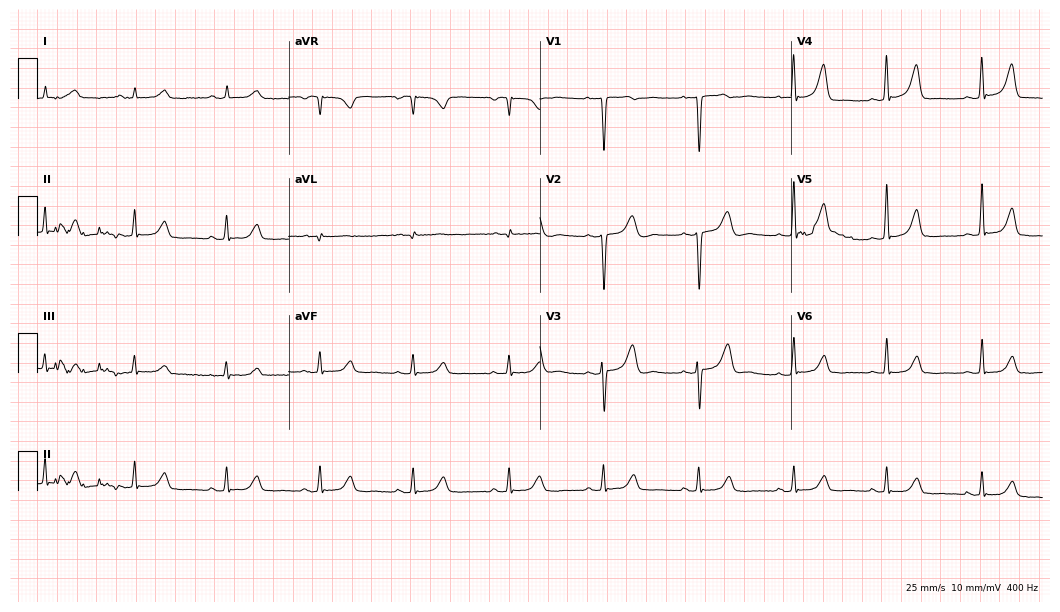
Resting 12-lead electrocardiogram. Patient: a female, 43 years old. None of these six findings is recorded: first-degree AV block, right bundle branch block, left bundle branch block, sinus bradycardia, atrial fibrillation, sinus tachycardia. Only these six findings were labelled.